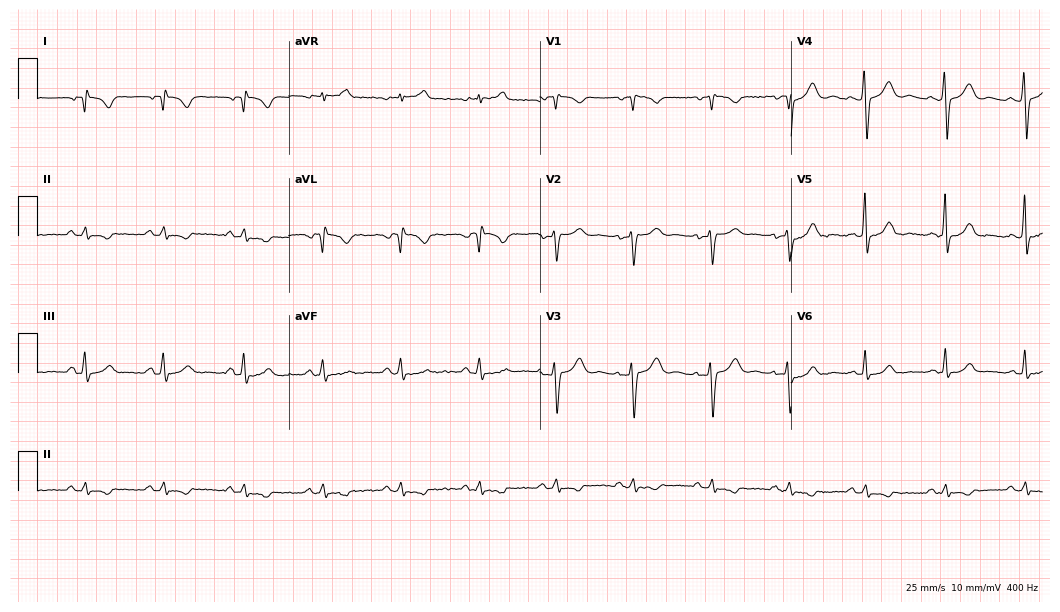
12-lead ECG from a female, 46 years old. No first-degree AV block, right bundle branch block (RBBB), left bundle branch block (LBBB), sinus bradycardia, atrial fibrillation (AF) or sinus tachycardia recorded for this tracing.